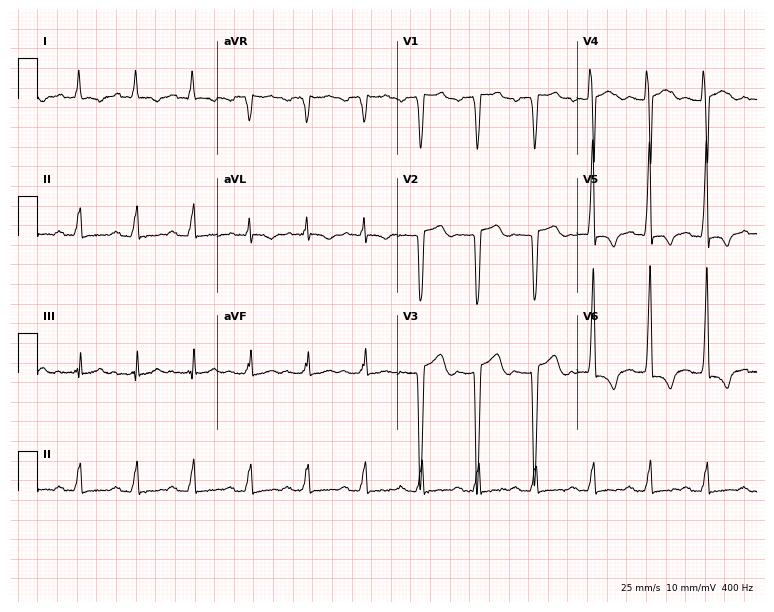
ECG (7.3-second recording at 400 Hz) — a 37-year-old male. Screened for six findings — first-degree AV block, right bundle branch block (RBBB), left bundle branch block (LBBB), sinus bradycardia, atrial fibrillation (AF), sinus tachycardia — none is recorded.